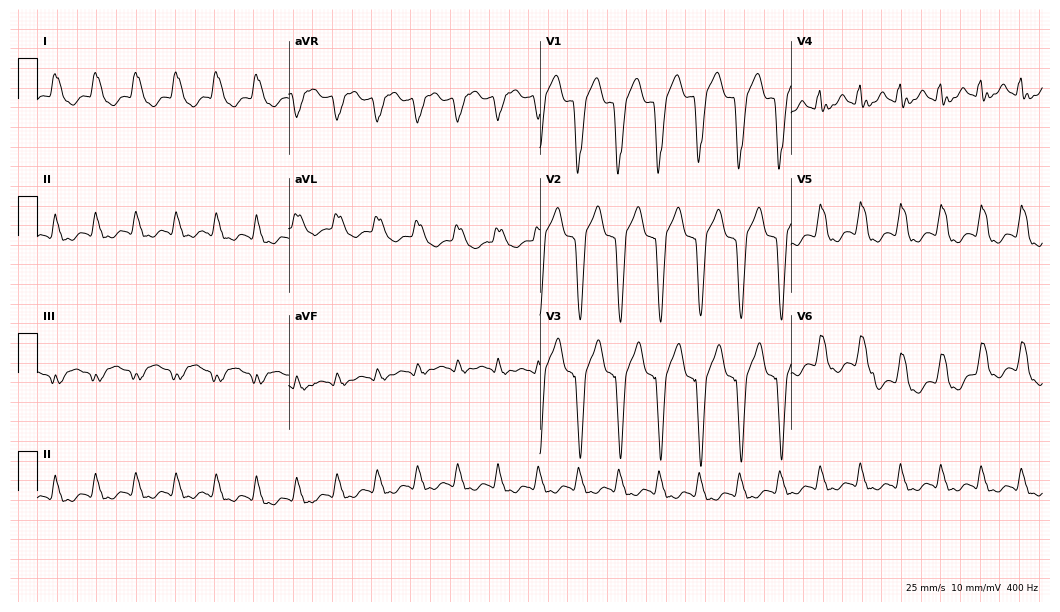
12-lead ECG (10.2-second recording at 400 Hz) from an 83-year-old man. Findings include left bundle branch block (LBBB).